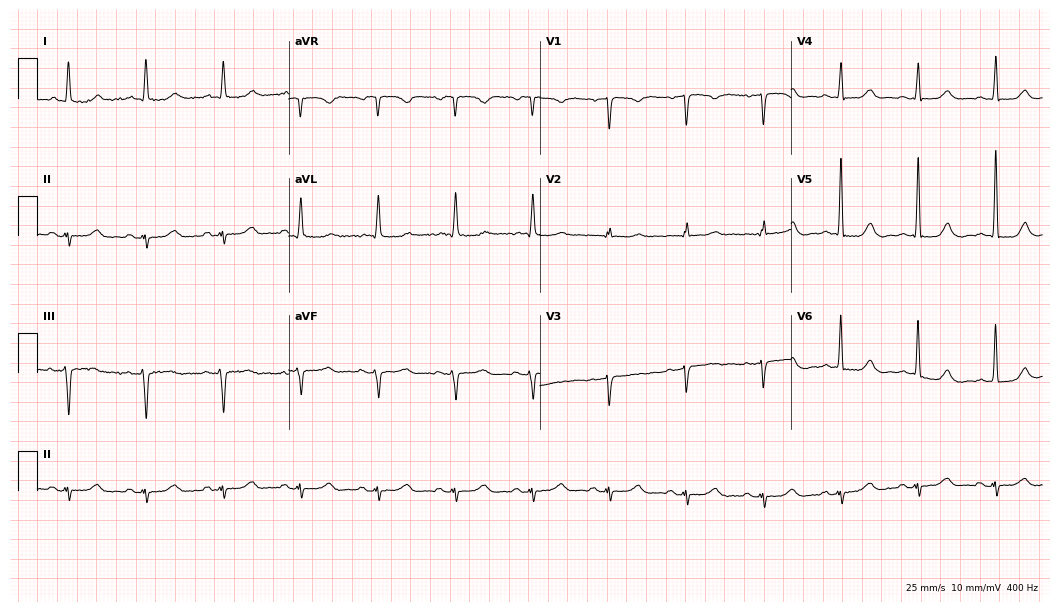
12-lead ECG from an 80-year-old female. No first-degree AV block, right bundle branch block, left bundle branch block, sinus bradycardia, atrial fibrillation or sinus tachycardia recorded for this tracing. Findings outside these six are not listed.